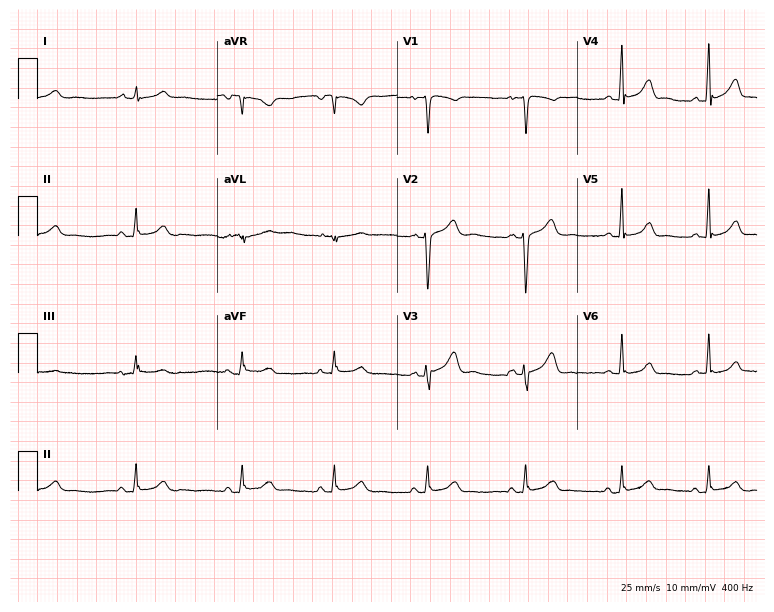
Electrocardiogram (7.3-second recording at 400 Hz), a female, 18 years old. Of the six screened findings (first-degree AV block, right bundle branch block, left bundle branch block, sinus bradycardia, atrial fibrillation, sinus tachycardia), none is recorded. Findings outside these six are not listed.